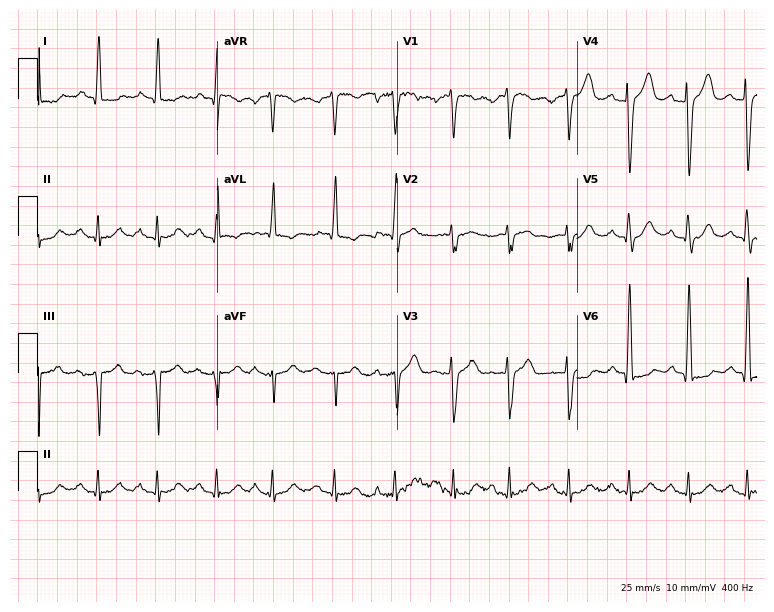
ECG (7.3-second recording at 400 Hz) — an 80-year-old male. Screened for six findings — first-degree AV block, right bundle branch block, left bundle branch block, sinus bradycardia, atrial fibrillation, sinus tachycardia — none is recorded. Only these six findings were labelled.